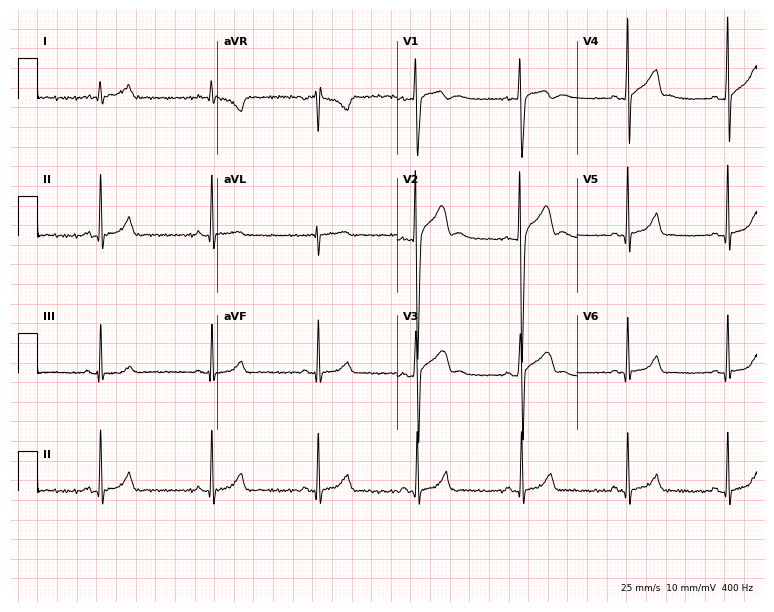
Electrocardiogram, a 19-year-old male patient. Overall reading on record: normal ECG.